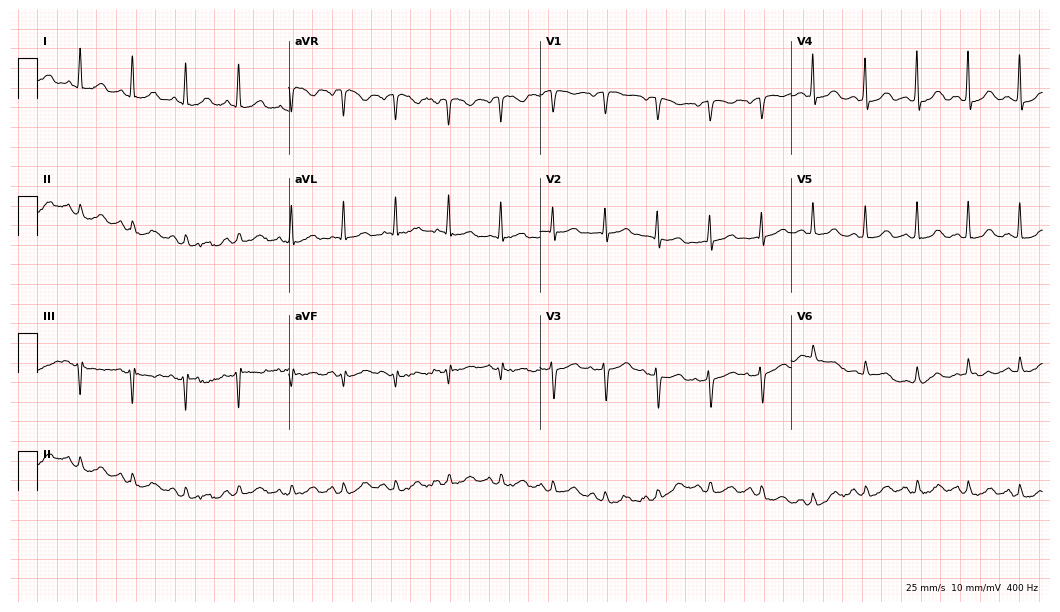
12-lead ECG from a 57-year-old male patient (10.2-second recording at 400 Hz). Shows sinus tachycardia (a sinus rate of 100 beats per minute or more).